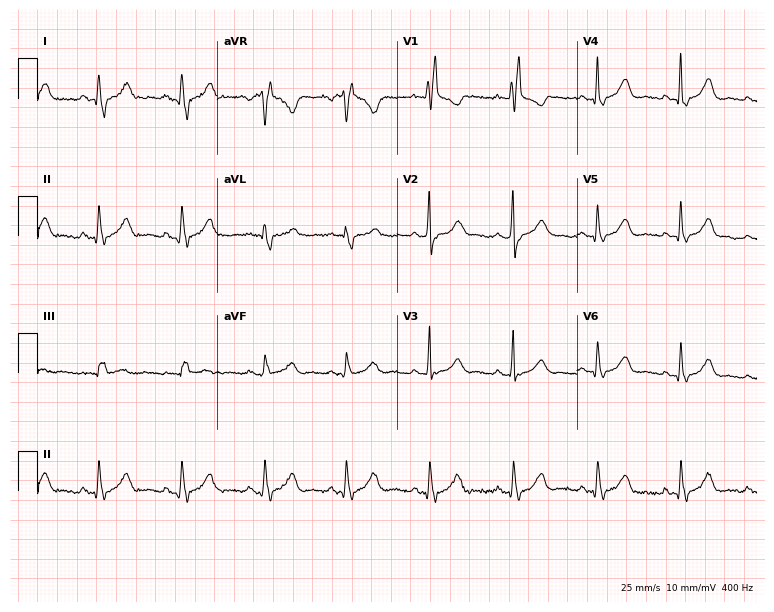
12-lead ECG from a female, 58 years old. Findings include right bundle branch block.